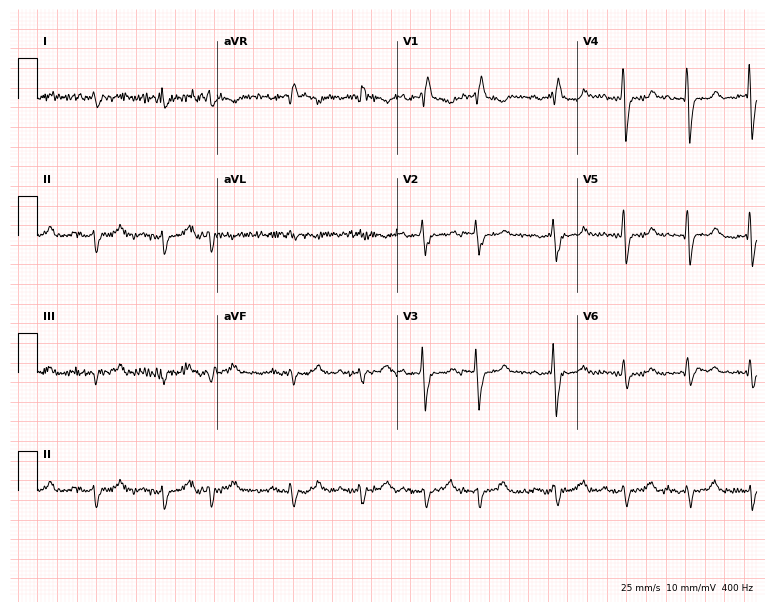
Electrocardiogram, a male, 69 years old. Of the six screened findings (first-degree AV block, right bundle branch block, left bundle branch block, sinus bradycardia, atrial fibrillation, sinus tachycardia), none is recorded. Findings outside these six are not listed.